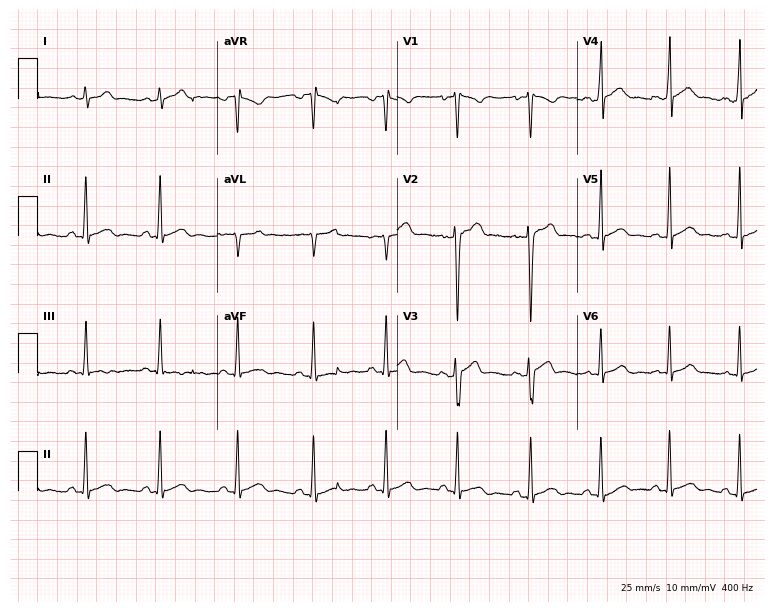
Electrocardiogram (7.3-second recording at 400 Hz), a man, 20 years old. Overall reading on record: normal ECG.